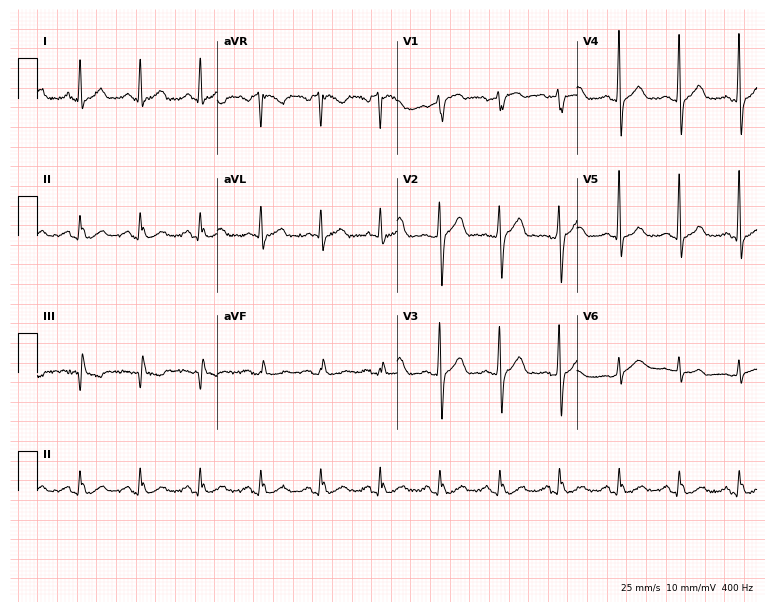
ECG — a male patient, 61 years old. Labelled as a normal ECG.